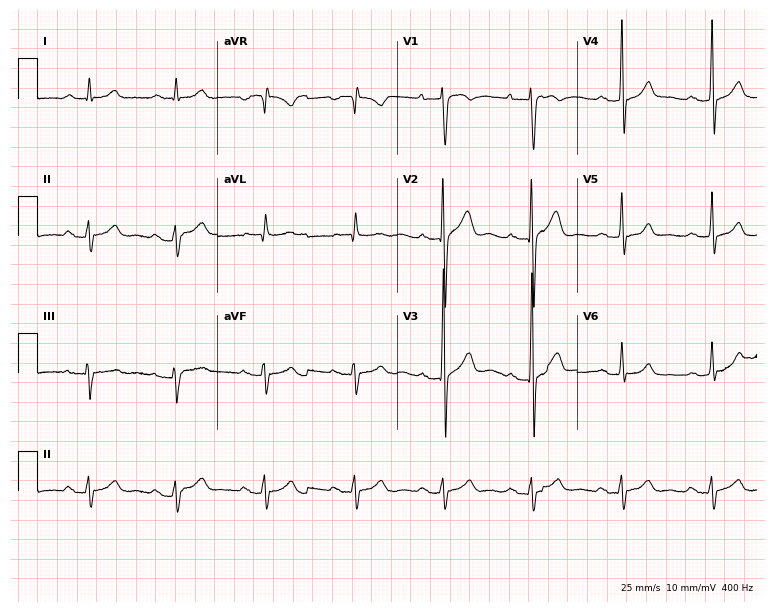
ECG (7.3-second recording at 400 Hz) — a male, 42 years old. Screened for six findings — first-degree AV block, right bundle branch block (RBBB), left bundle branch block (LBBB), sinus bradycardia, atrial fibrillation (AF), sinus tachycardia — none is recorded.